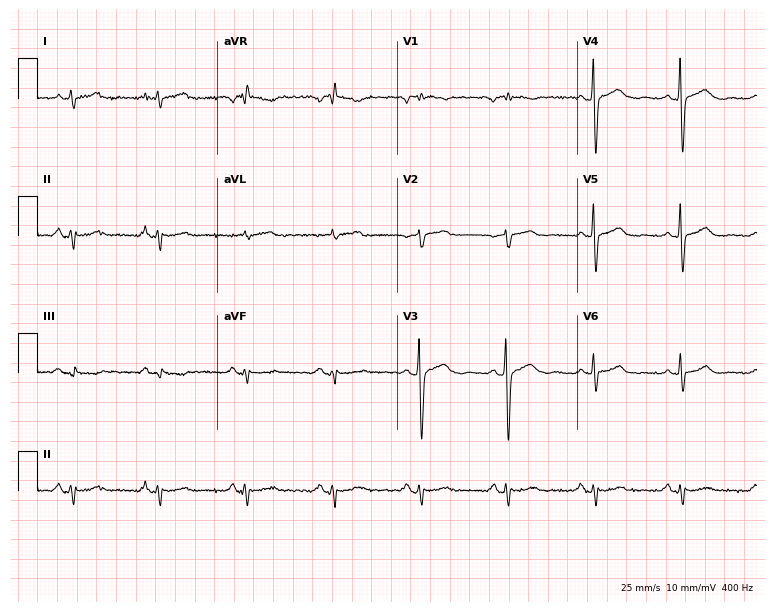
Resting 12-lead electrocardiogram. Patient: a male, 60 years old. None of these six findings is recorded: first-degree AV block, right bundle branch block, left bundle branch block, sinus bradycardia, atrial fibrillation, sinus tachycardia. Only these six findings were labelled.